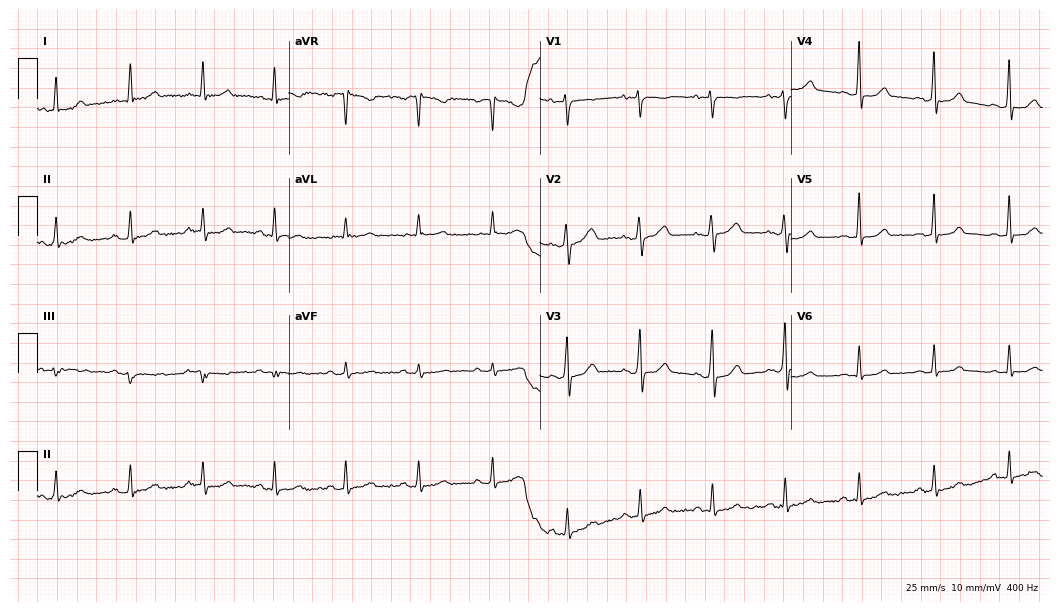
Electrocardiogram, a man, 77 years old. Overall reading on record: normal ECG.